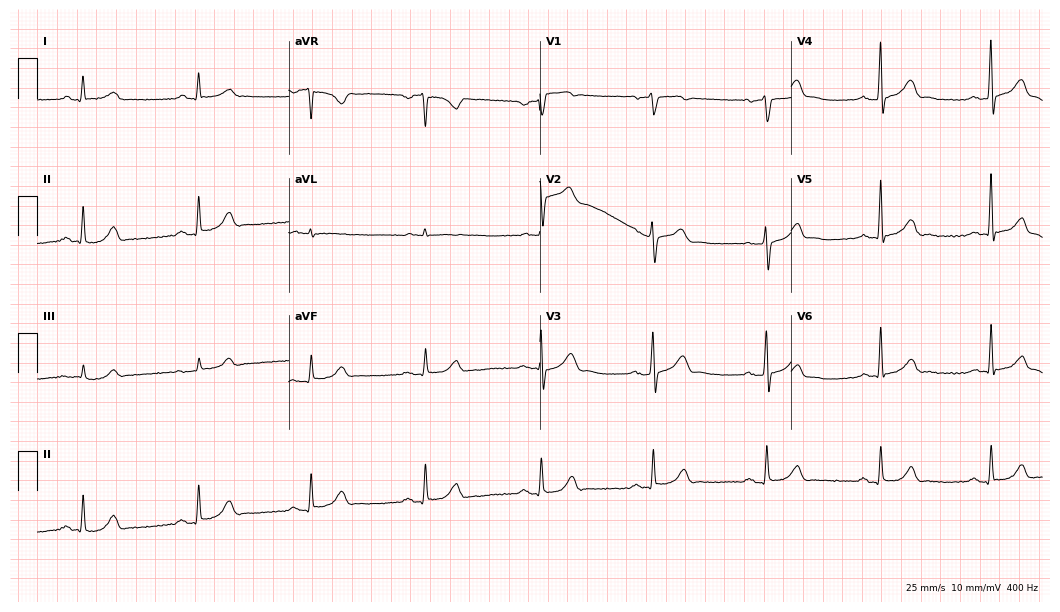
12-lead ECG from a man, 72 years old. Recorded interpretation: within normal limits.